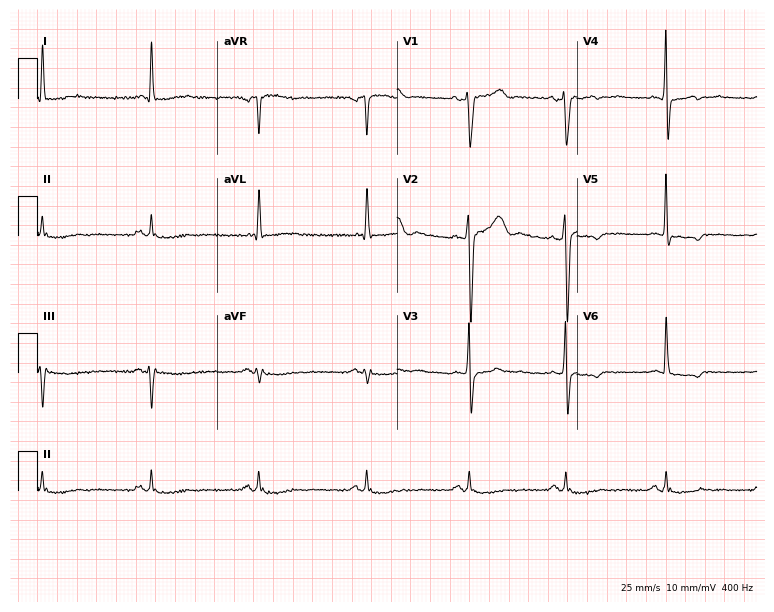
ECG — a male patient, 53 years old. Screened for six findings — first-degree AV block, right bundle branch block (RBBB), left bundle branch block (LBBB), sinus bradycardia, atrial fibrillation (AF), sinus tachycardia — none is recorded. Findings outside these six are not listed.